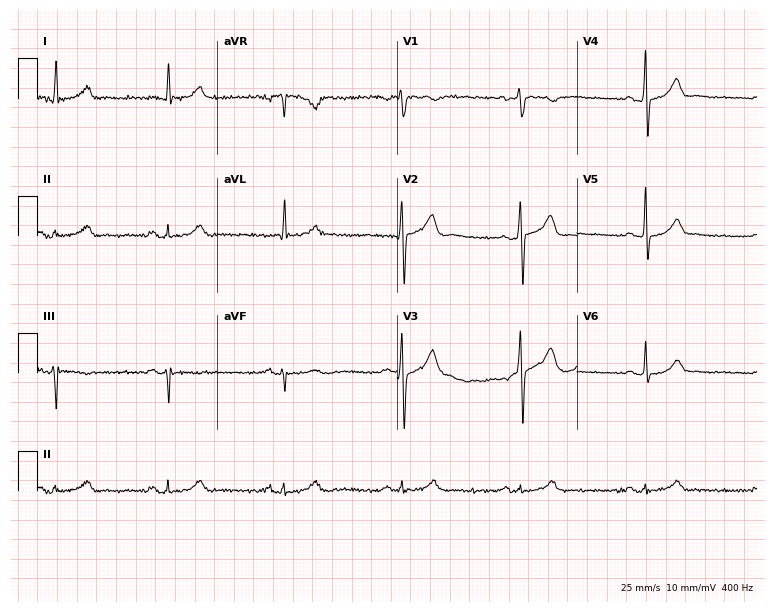
Standard 12-lead ECG recorded from a 47-year-old man (7.3-second recording at 400 Hz). The tracing shows sinus bradycardia (a sinus rate of 50 beats per minute or less).